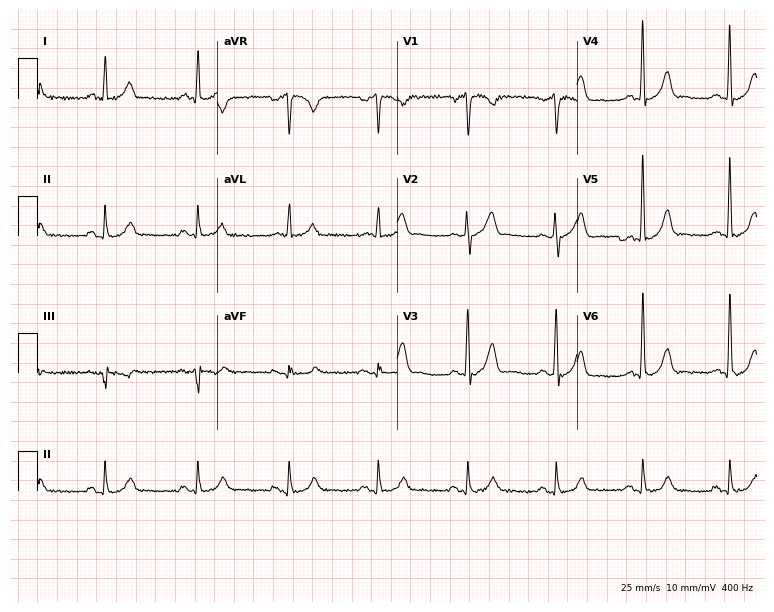
Electrocardiogram (7.3-second recording at 400 Hz), a 44-year-old man. Of the six screened findings (first-degree AV block, right bundle branch block, left bundle branch block, sinus bradycardia, atrial fibrillation, sinus tachycardia), none is recorded. Findings outside these six are not listed.